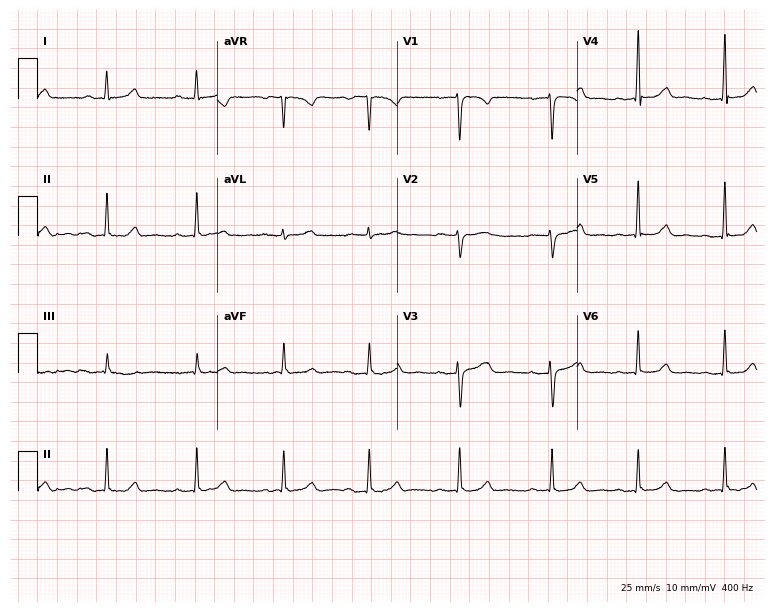
Resting 12-lead electrocardiogram. Patient: a female, 40 years old. None of these six findings is recorded: first-degree AV block, right bundle branch block, left bundle branch block, sinus bradycardia, atrial fibrillation, sinus tachycardia. Other findings, if any, are not listed.